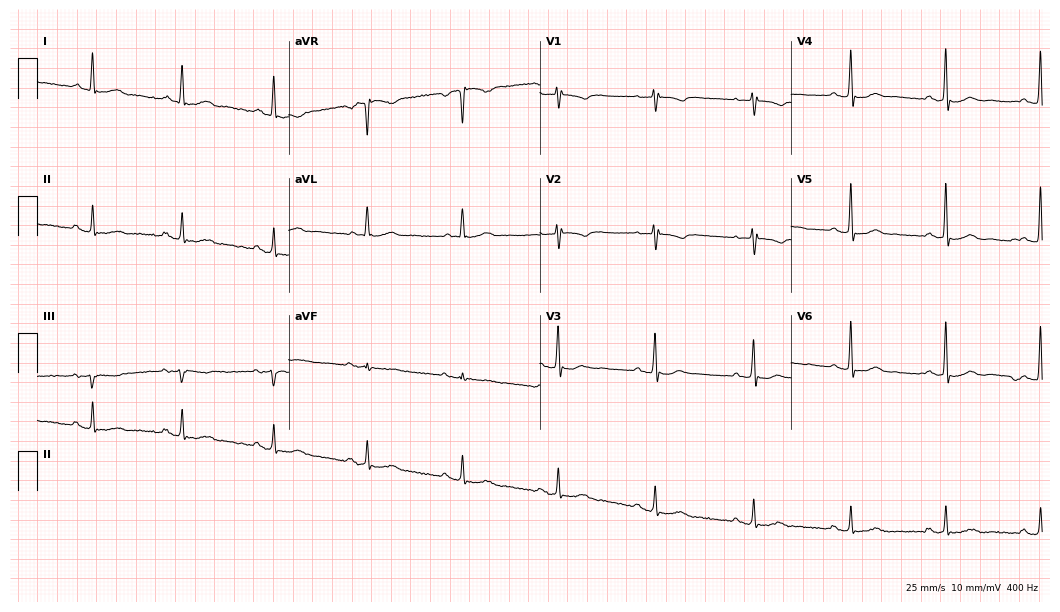
12-lead ECG from a 73-year-old female (10.2-second recording at 400 Hz). No first-degree AV block, right bundle branch block (RBBB), left bundle branch block (LBBB), sinus bradycardia, atrial fibrillation (AF) or sinus tachycardia recorded for this tracing. Findings outside these six are not listed.